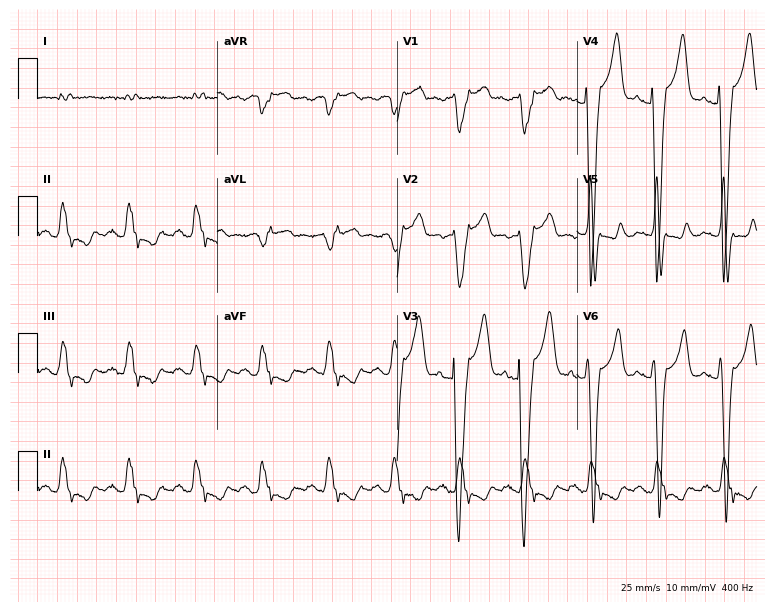
Electrocardiogram (7.3-second recording at 400 Hz), a 71-year-old male patient. Interpretation includes left bundle branch block.